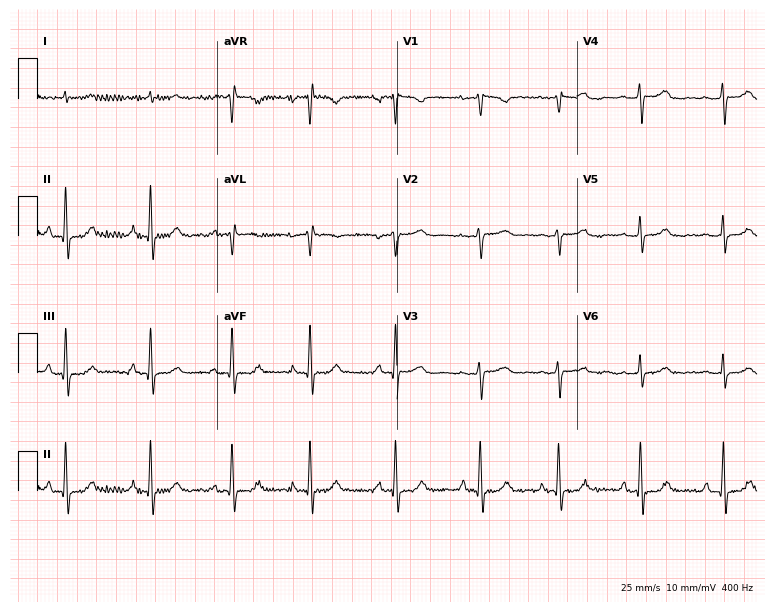
Standard 12-lead ECG recorded from a 56-year-old female patient (7.3-second recording at 400 Hz). Read as a normal ECG.